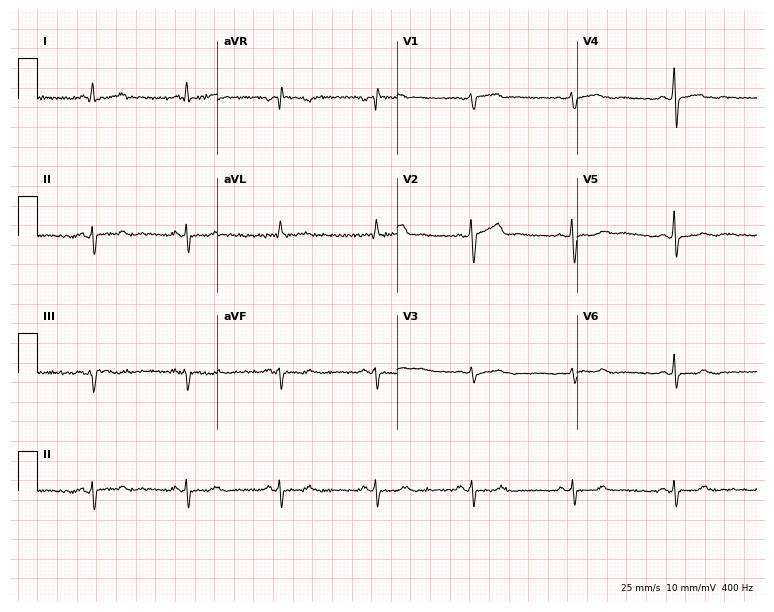
Resting 12-lead electrocardiogram. Patient: a man, 61 years old. None of these six findings is recorded: first-degree AV block, right bundle branch block, left bundle branch block, sinus bradycardia, atrial fibrillation, sinus tachycardia.